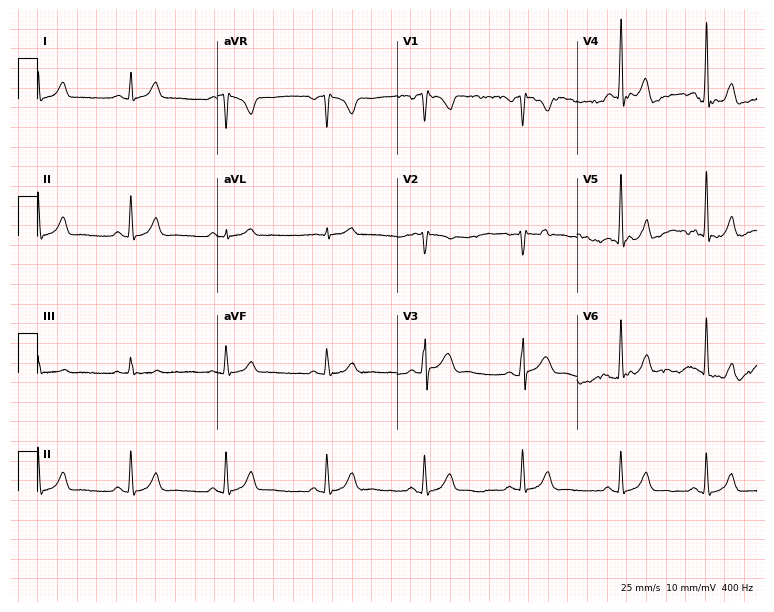
12-lead ECG from a 41-year-old male. Recorded interpretation: within normal limits.